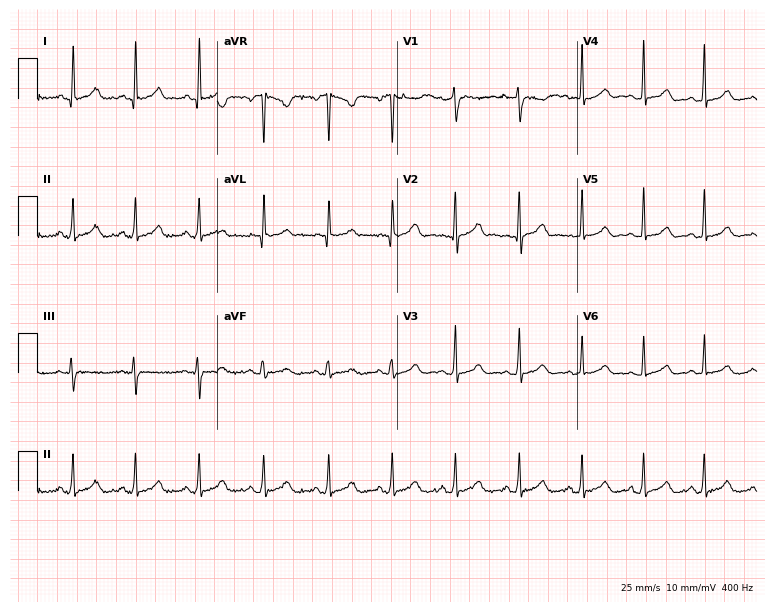
12-lead ECG (7.3-second recording at 400 Hz) from a woman, 26 years old. Labelled as a normal ECG.